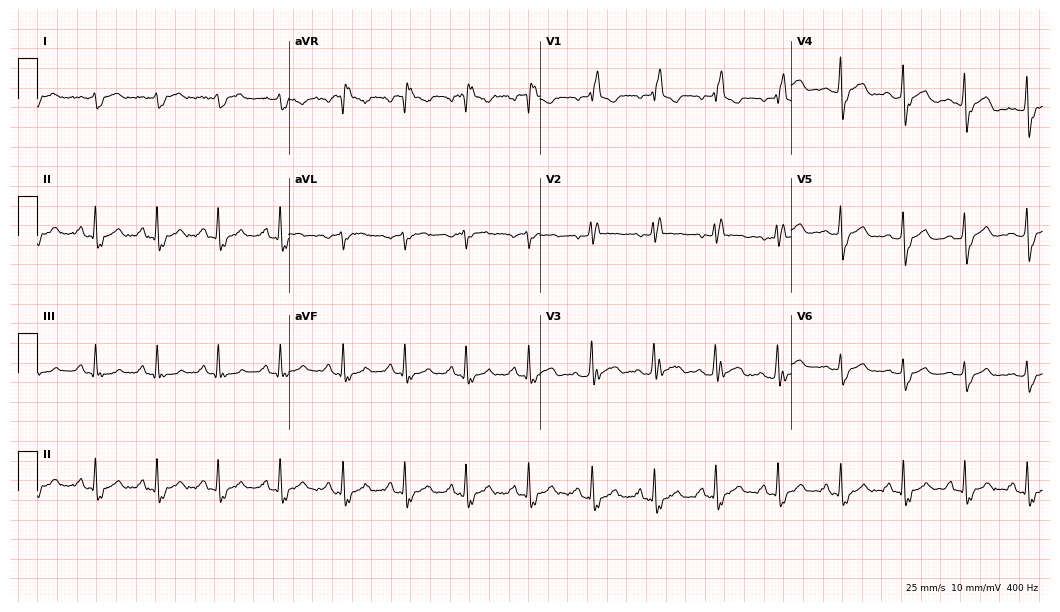
12-lead ECG (10.2-second recording at 400 Hz) from a male patient, 58 years old. Findings include right bundle branch block.